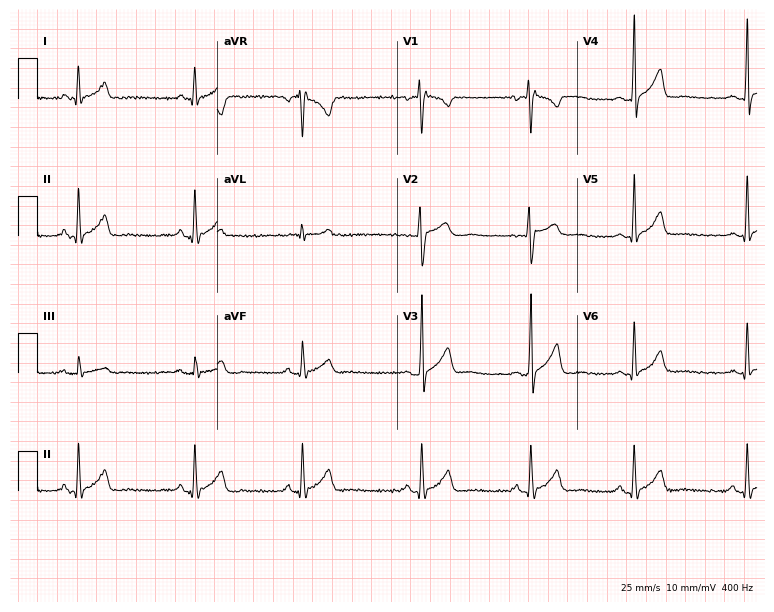
ECG (7.3-second recording at 400 Hz) — a male, 23 years old. Labelled as a normal ECG.